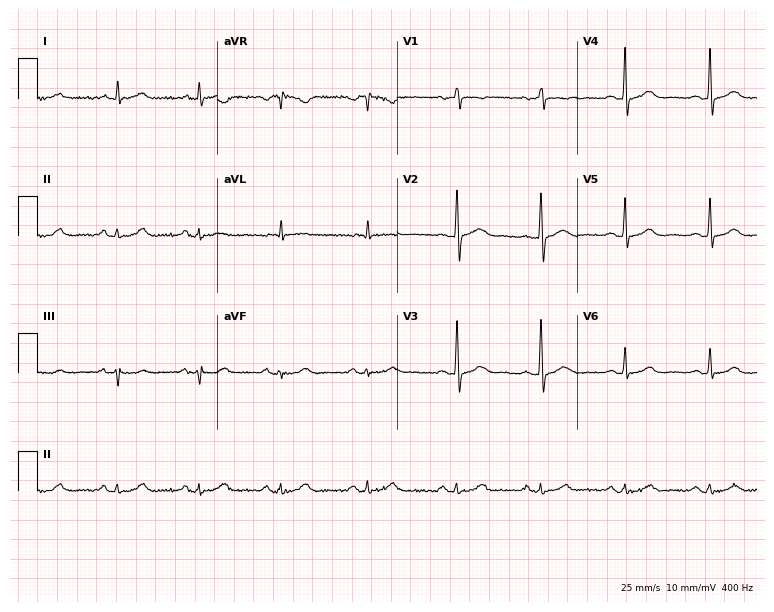
Resting 12-lead electrocardiogram (7.3-second recording at 400 Hz). Patient: a 46-year-old male. None of these six findings is recorded: first-degree AV block, right bundle branch block, left bundle branch block, sinus bradycardia, atrial fibrillation, sinus tachycardia.